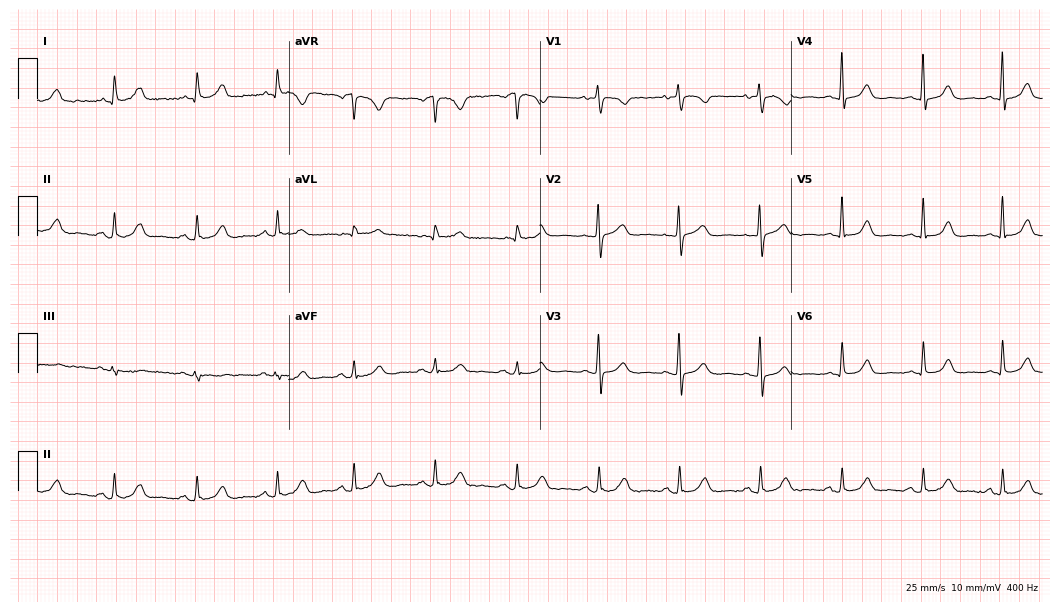
12-lead ECG (10.2-second recording at 400 Hz) from a 73-year-old woman. Labelled as a normal ECG.